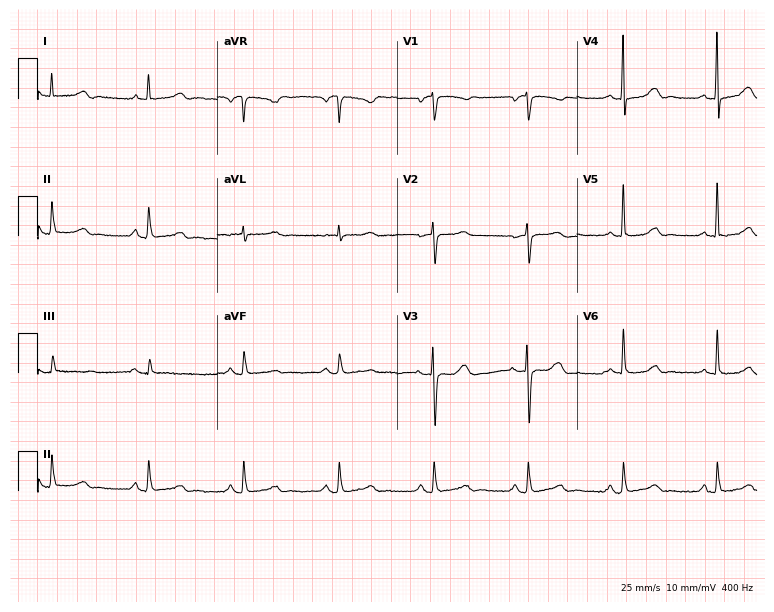
Resting 12-lead electrocardiogram. Patient: a female, 56 years old. Read as a normal ECG.